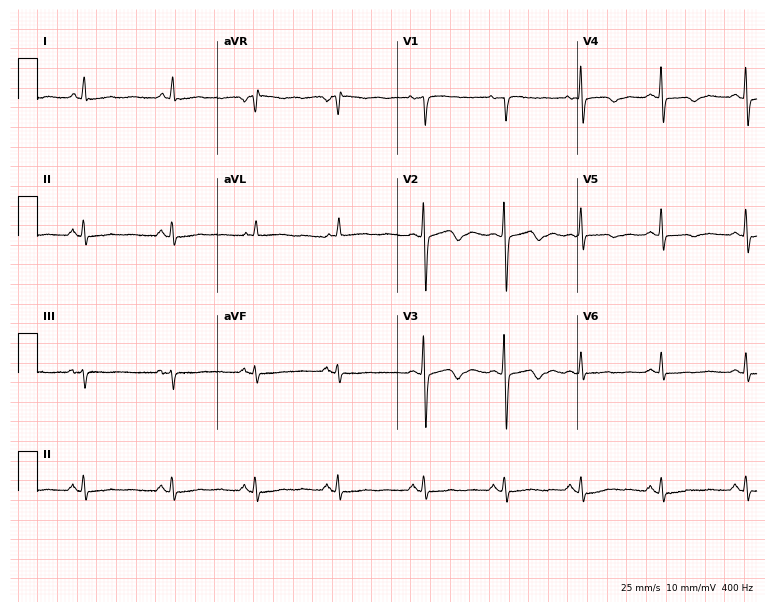
Standard 12-lead ECG recorded from a female patient, 40 years old (7.3-second recording at 400 Hz). None of these six findings is recorded: first-degree AV block, right bundle branch block (RBBB), left bundle branch block (LBBB), sinus bradycardia, atrial fibrillation (AF), sinus tachycardia.